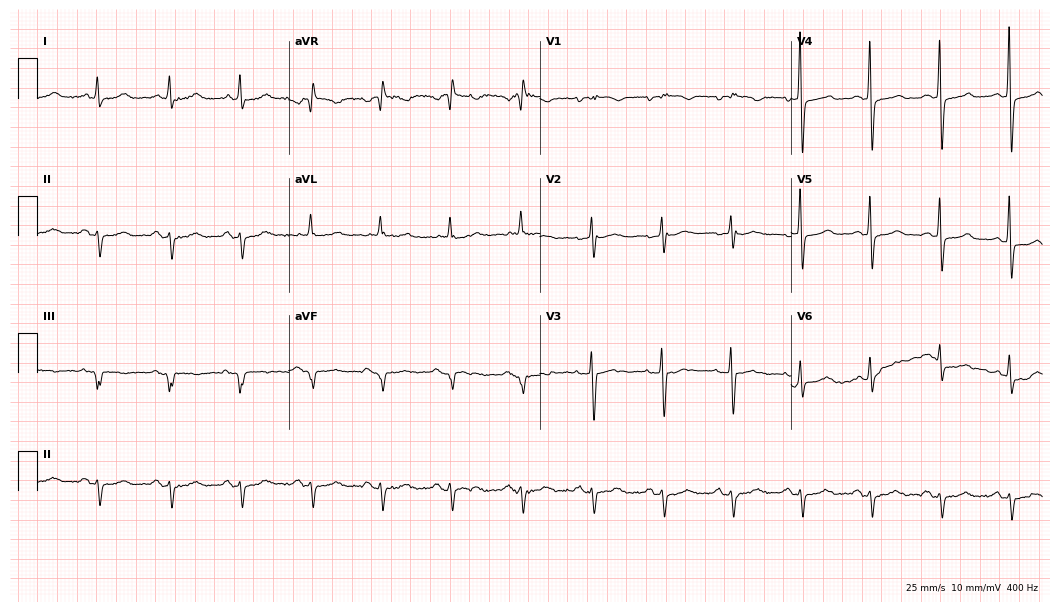
12-lead ECG from a woman, 85 years old. No first-degree AV block, right bundle branch block (RBBB), left bundle branch block (LBBB), sinus bradycardia, atrial fibrillation (AF) or sinus tachycardia recorded for this tracing. Other findings, if any, are not listed.